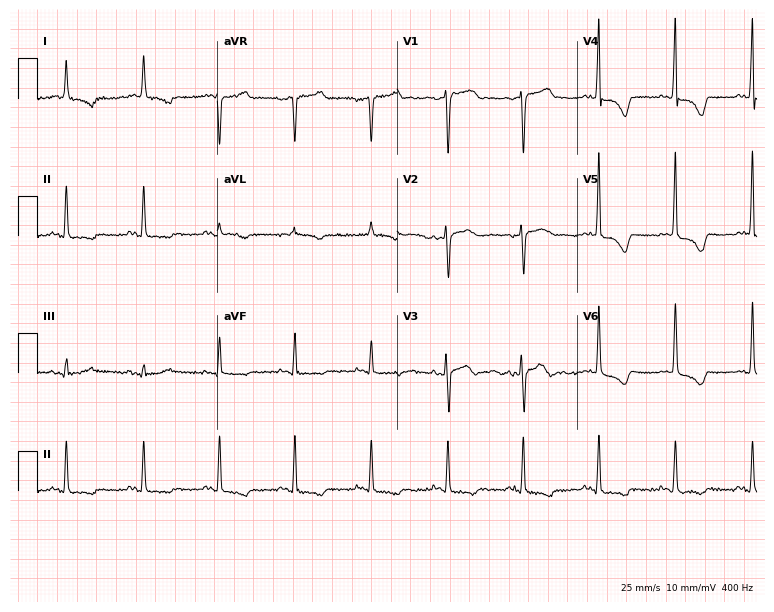
12-lead ECG from a female, 65 years old. Screened for six findings — first-degree AV block, right bundle branch block, left bundle branch block, sinus bradycardia, atrial fibrillation, sinus tachycardia — none is recorded.